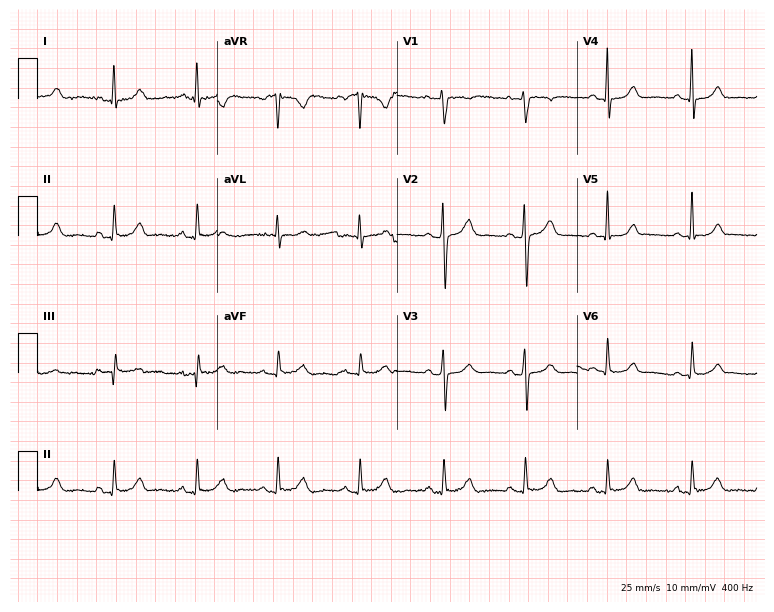
12-lead ECG from a woman, 46 years old (7.3-second recording at 400 Hz). Recorded interpretation: within normal limits.